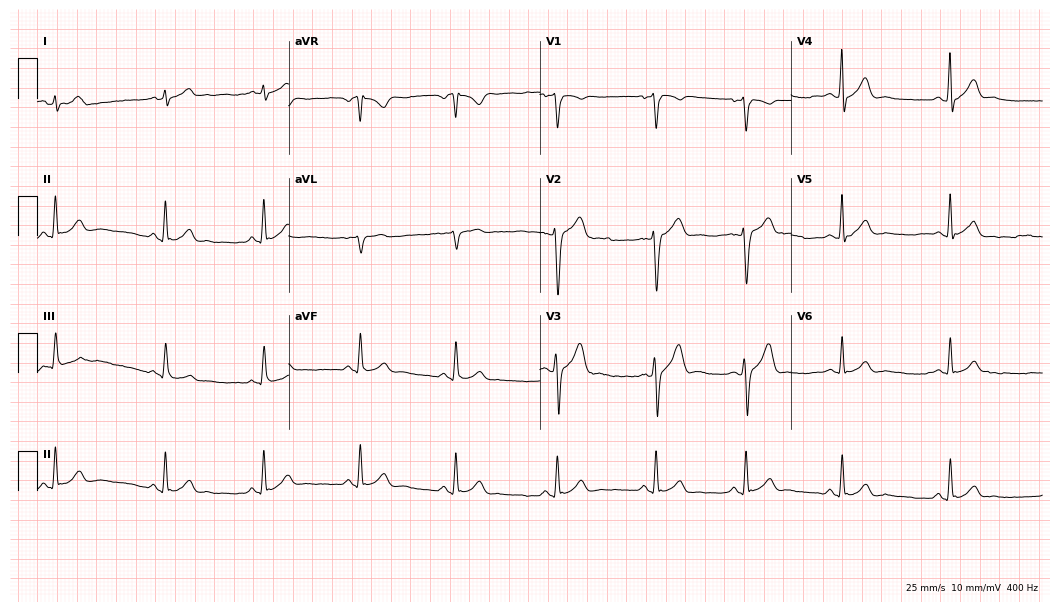
12-lead ECG (10.2-second recording at 400 Hz) from a male patient, 34 years old. Labelled as a normal ECG.